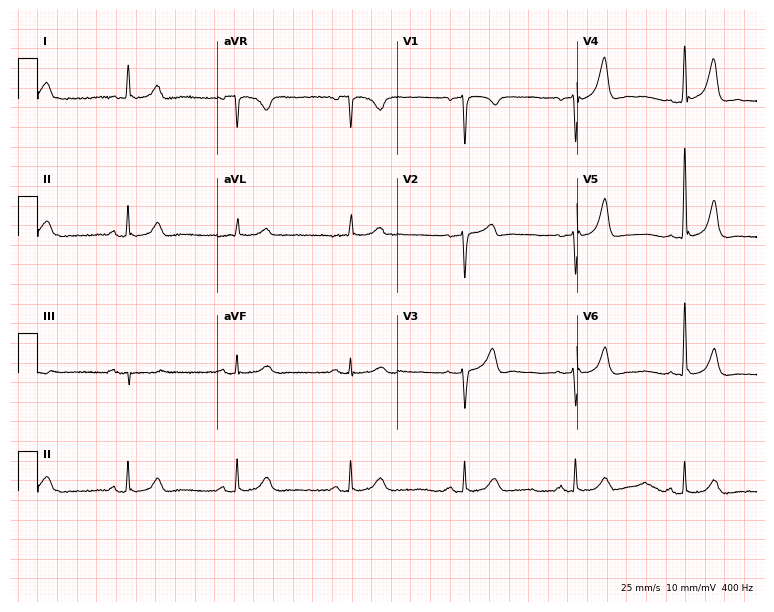
12-lead ECG from a 76-year-old male. No first-degree AV block, right bundle branch block, left bundle branch block, sinus bradycardia, atrial fibrillation or sinus tachycardia recorded for this tracing.